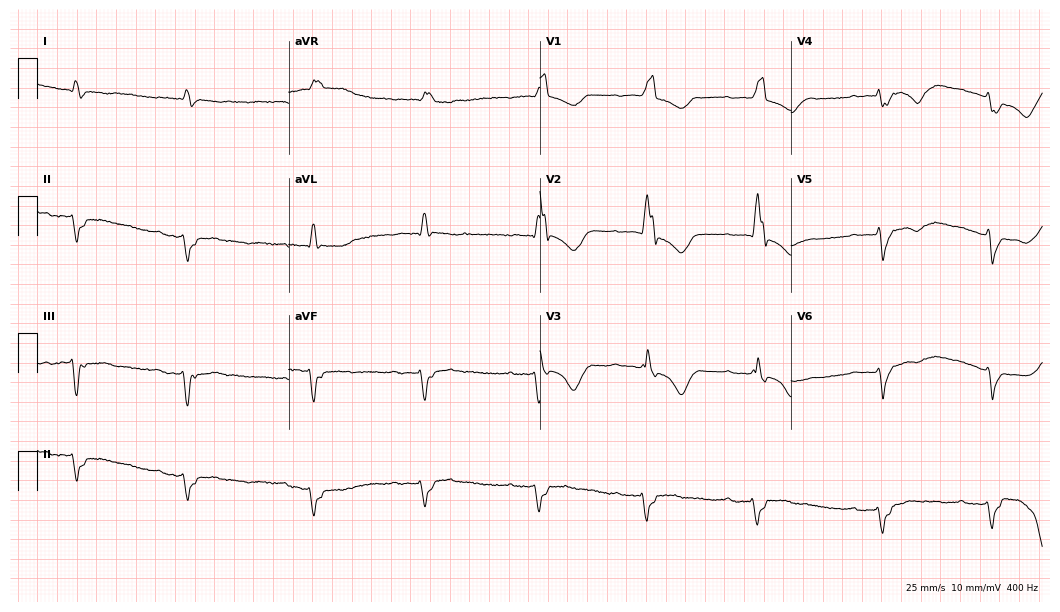
Standard 12-lead ECG recorded from an 81-year-old female. The tracing shows first-degree AV block, right bundle branch block, left bundle branch block.